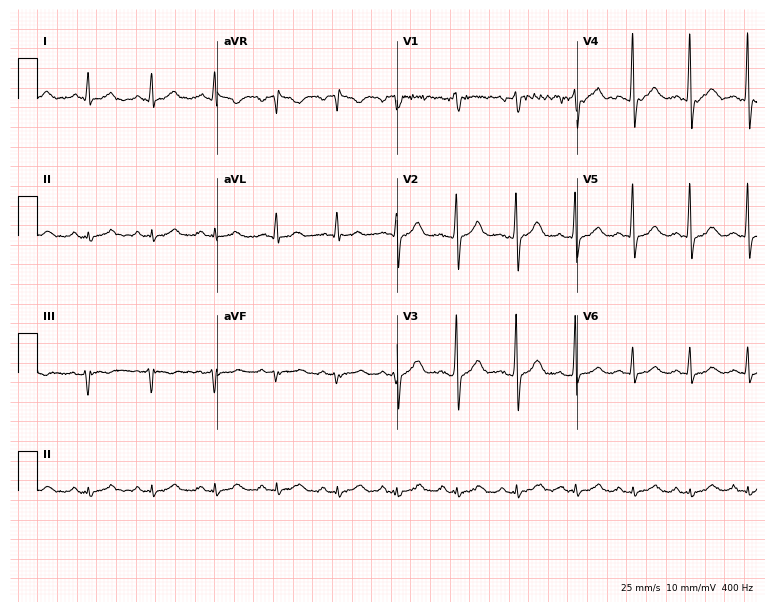
Resting 12-lead electrocardiogram. Patient: a 31-year-old male. Read as a normal ECG.